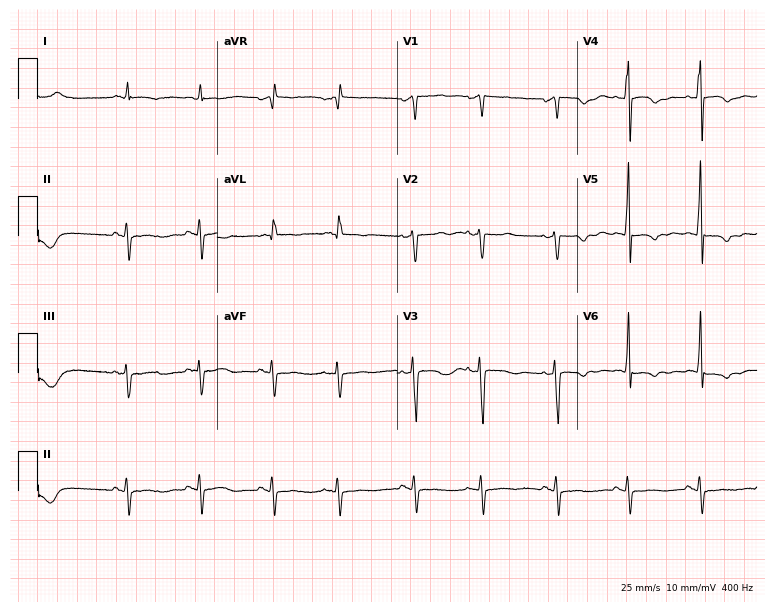
Resting 12-lead electrocardiogram (7.3-second recording at 400 Hz). Patient: a male, 74 years old. None of these six findings is recorded: first-degree AV block, right bundle branch block, left bundle branch block, sinus bradycardia, atrial fibrillation, sinus tachycardia. Other findings, if any, are not listed.